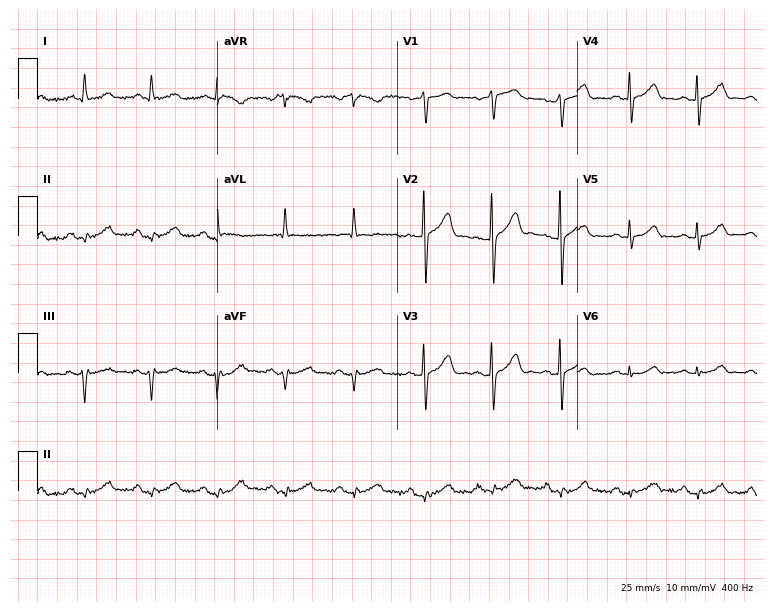
ECG — a man, 39 years old. Labelled as a normal ECG.